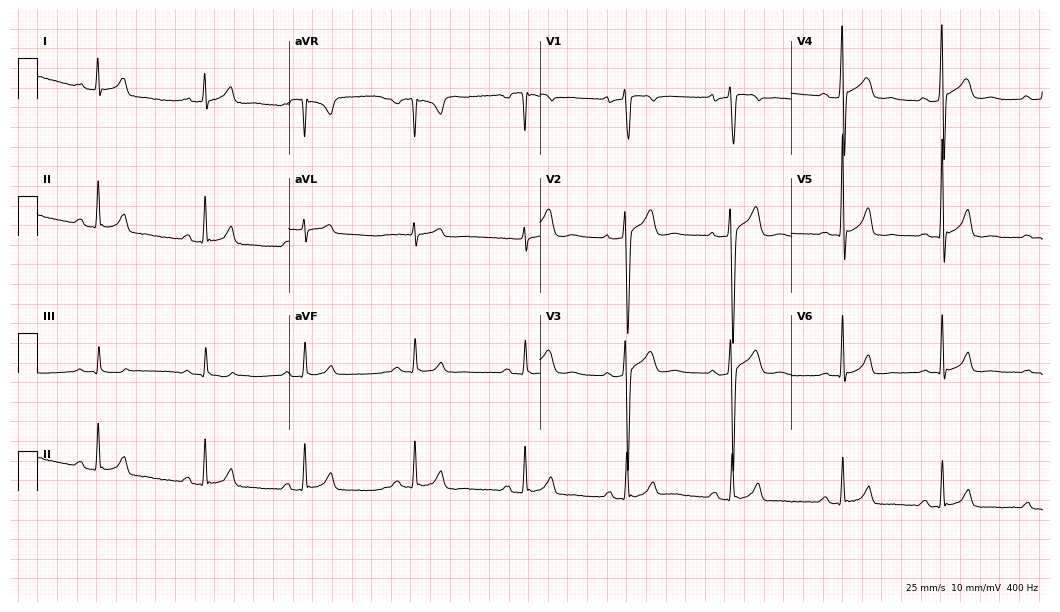
ECG — a 39-year-old man. Labelled as a normal ECG.